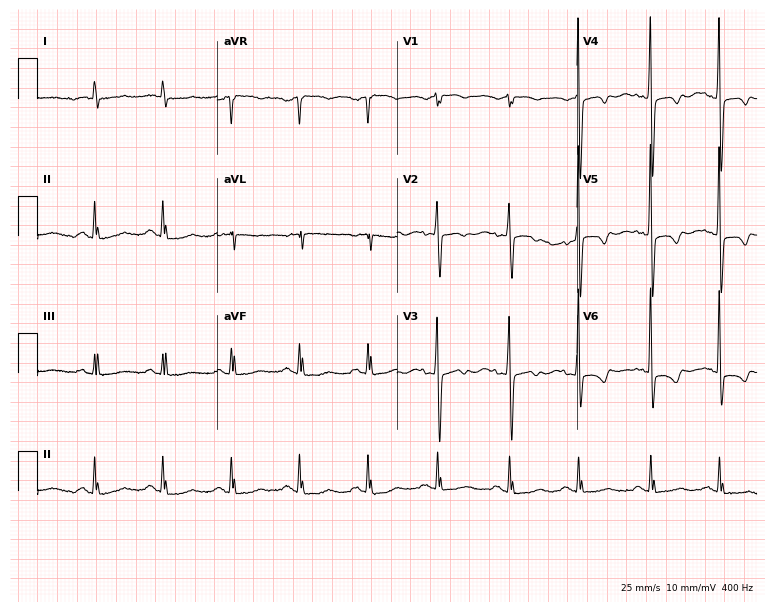
Standard 12-lead ECG recorded from a 79-year-old woman. None of these six findings is recorded: first-degree AV block, right bundle branch block, left bundle branch block, sinus bradycardia, atrial fibrillation, sinus tachycardia.